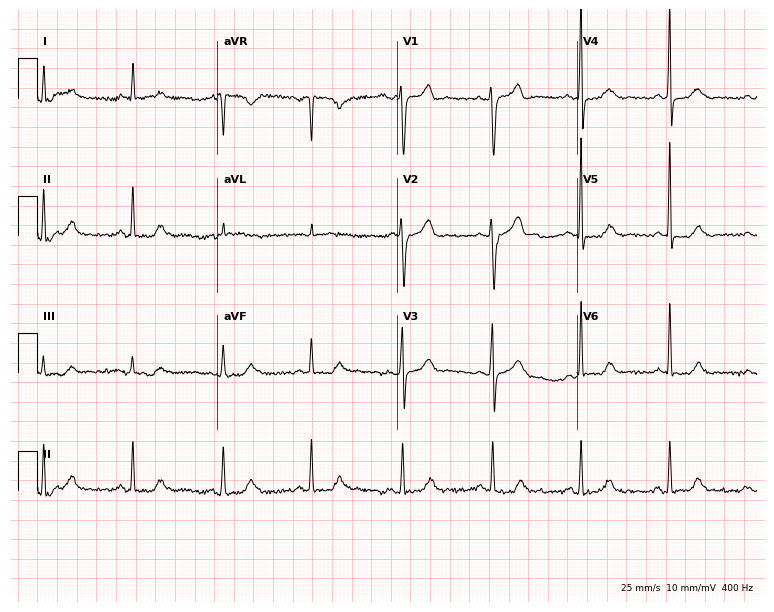
Electrocardiogram (7.3-second recording at 400 Hz), a male, 46 years old. Of the six screened findings (first-degree AV block, right bundle branch block, left bundle branch block, sinus bradycardia, atrial fibrillation, sinus tachycardia), none is recorded.